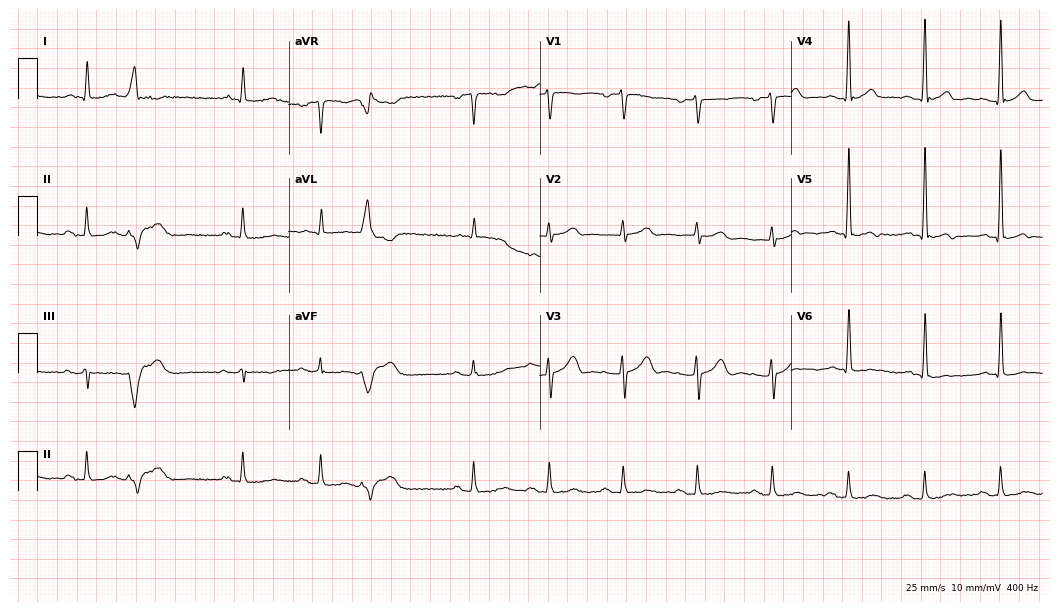
12-lead ECG from an 85-year-old male patient. Screened for six findings — first-degree AV block, right bundle branch block, left bundle branch block, sinus bradycardia, atrial fibrillation, sinus tachycardia — none is recorded.